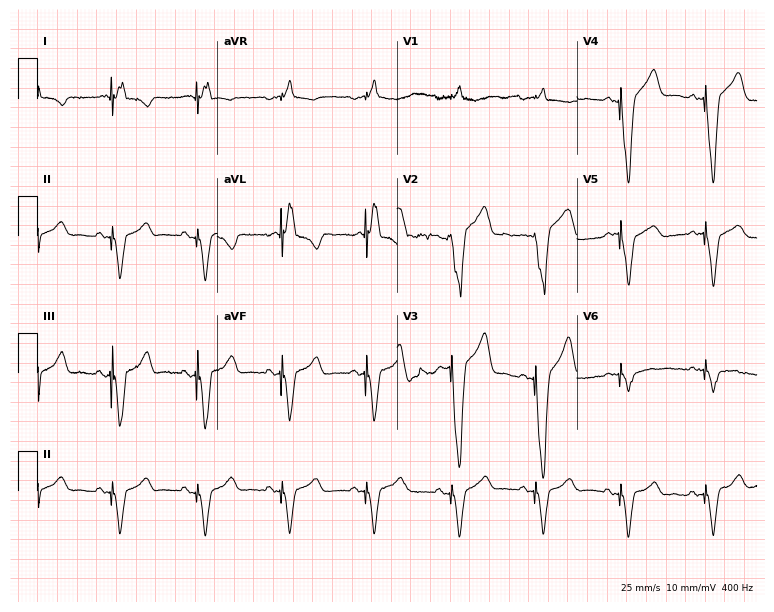
12-lead ECG (7.3-second recording at 400 Hz) from a male patient, 67 years old. Screened for six findings — first-degree AV block, right bundle branch block (RBBB), left bundle branch block (LBBB), sinus bradycardia, atrial fibrillation (AF), sinus tachycardia — none is recorded.